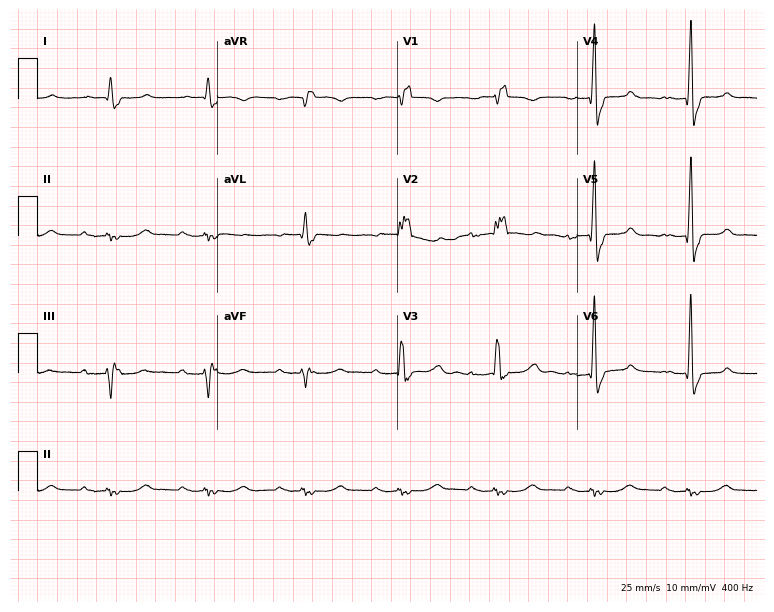
12-lead ECG from a male patient, 66 years old (7.3-second recording at 400 Hz). Shows first-degree AV block, right bundle branch block (RBBB).